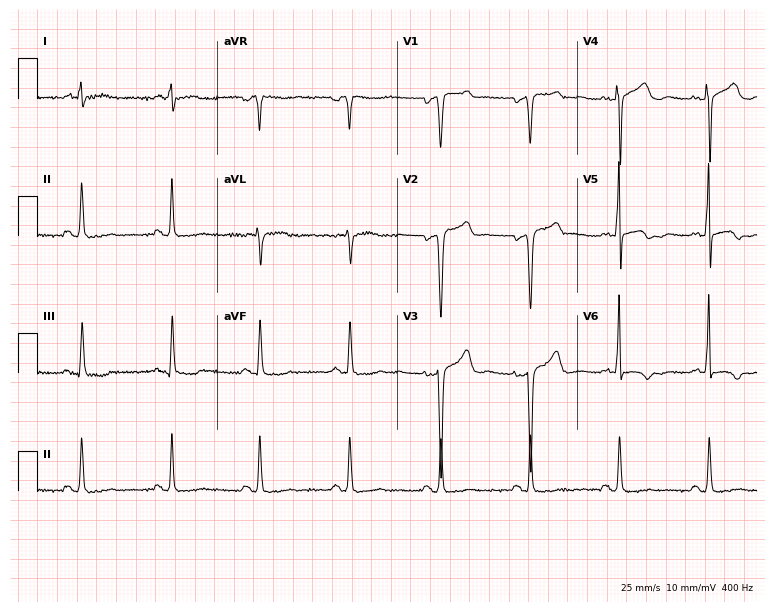
12-lead ECG (7.3-second recording at 400 Hz) from an 83-year-old man. Screened for six findings — first-degree AV block, right bundle branch block (RBBB), left bundle branch block (LBBB), sinus bradycardia, atrial fibrillation (AF), sinus tachycardia — none is recorded. Other findings, if any, are not listed.